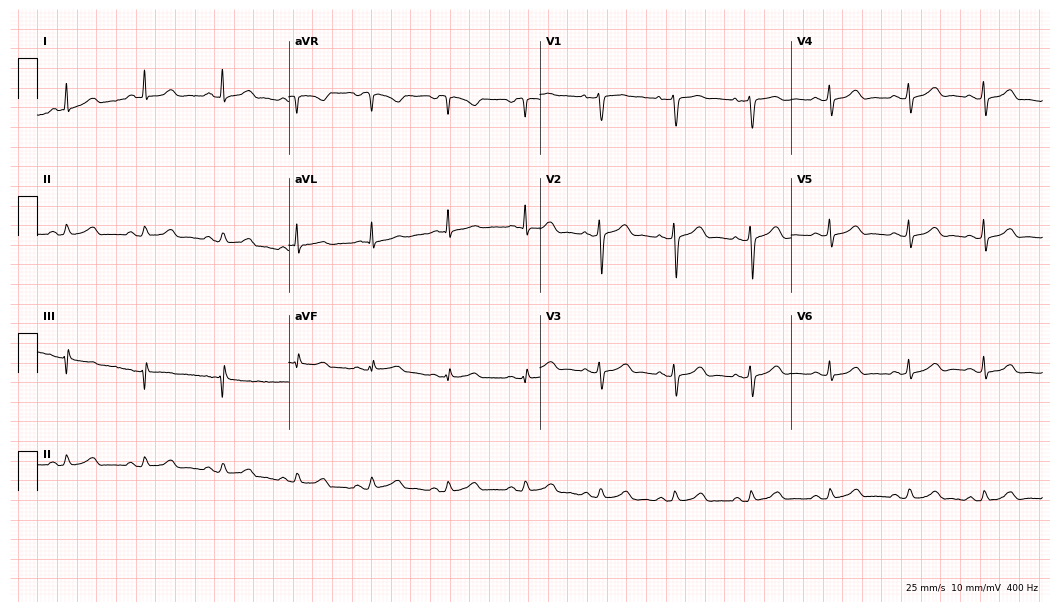
Standard 12-lead ECG recorded from a 44-year-old female. Read as a normal ECG.